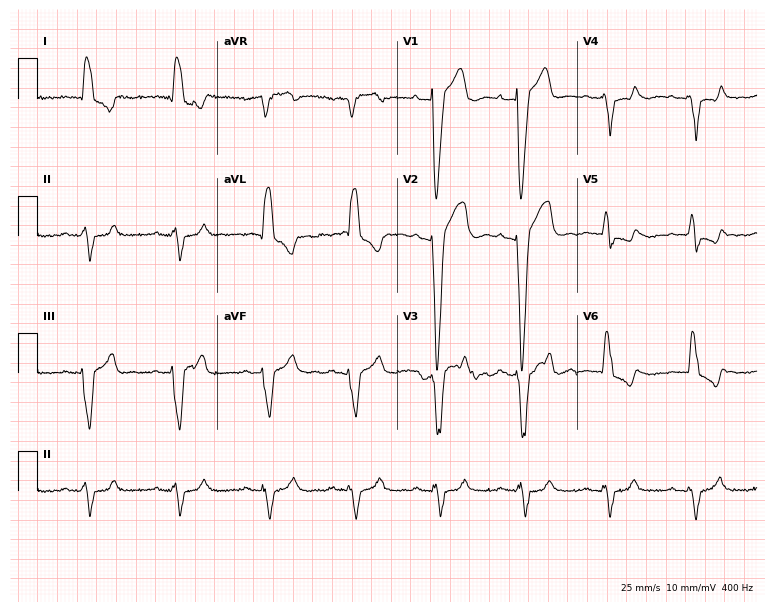
ECG — a 71-year-old man. Findings include left bundle branch block (LBBB).